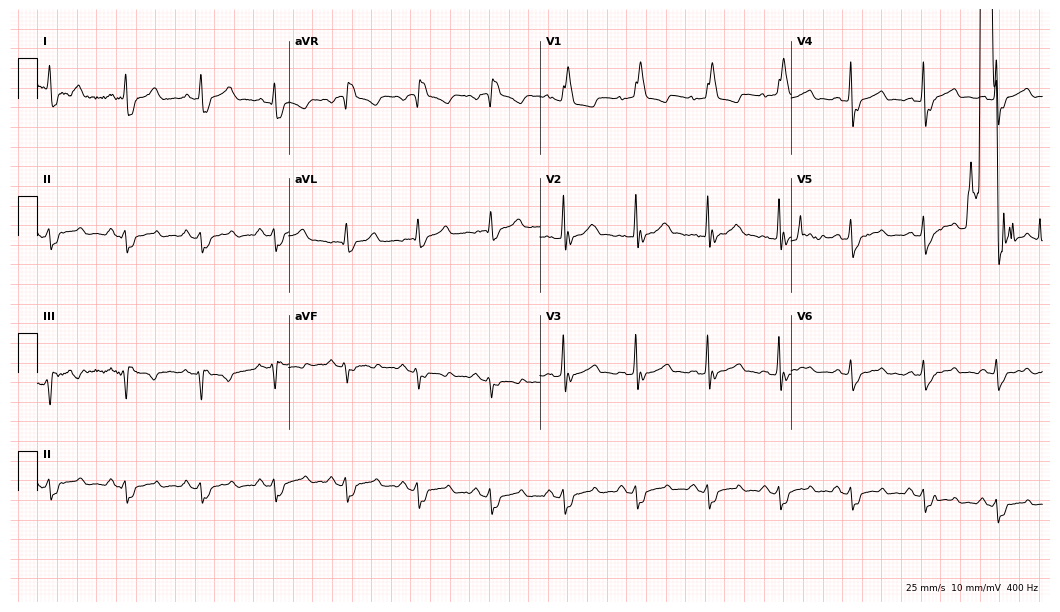
Standard 12-lead ECG recorded from a 66-year-old man (10.2-second recording at 400 Hz). The tracing shows right bundle branch block (RBBB).